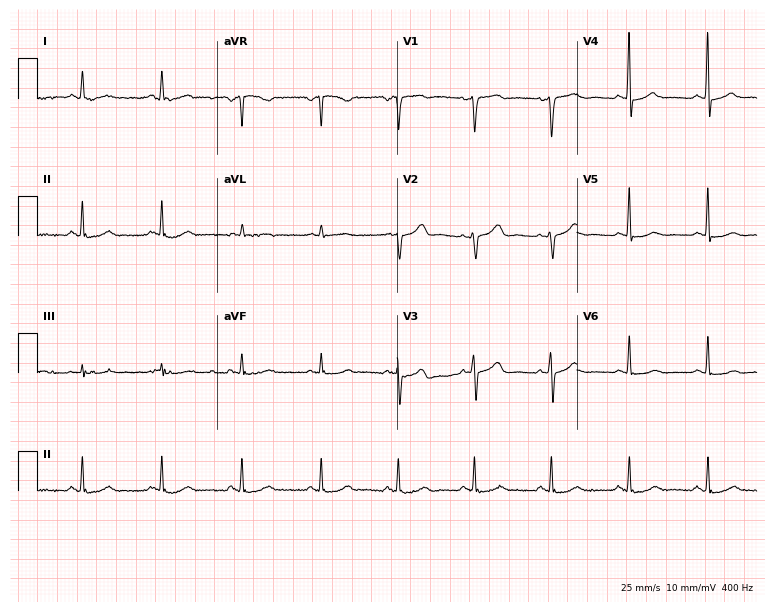
12-lead ECG from a female, 71 years old. Screened for six findings — first-degree AV block, right bundle branch block, left bundle branch block, sinus bradycardia, atrial fibrillation, sinus tachycardia — none is recorded. Findings outside these six are not listed.